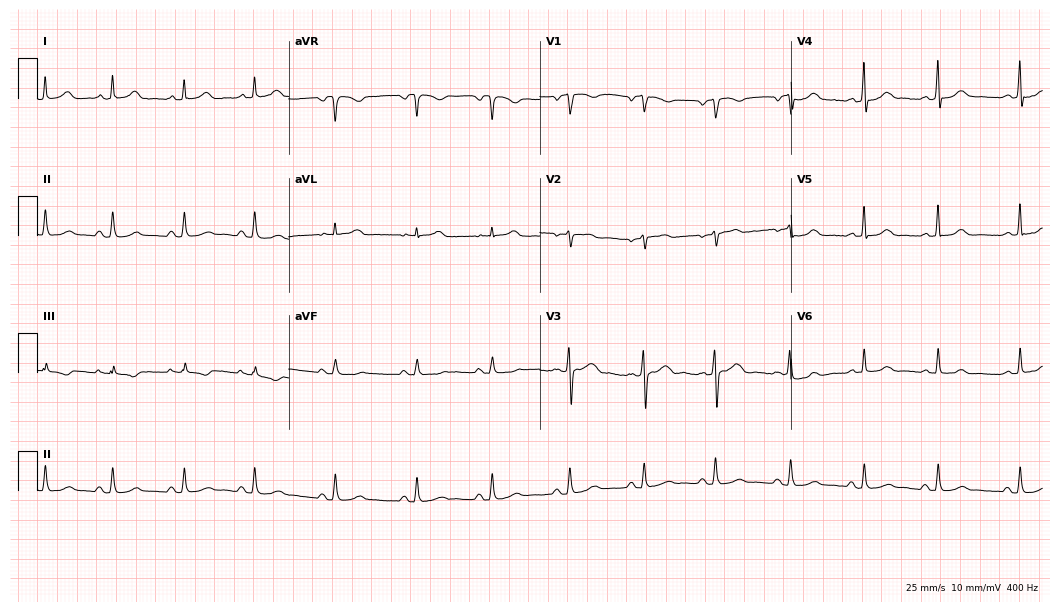
Resting 12-lead electrocardiogram (10.2-second recording at 400 Hz). Patient: a 34-year-old female. Read as a normal ECG.